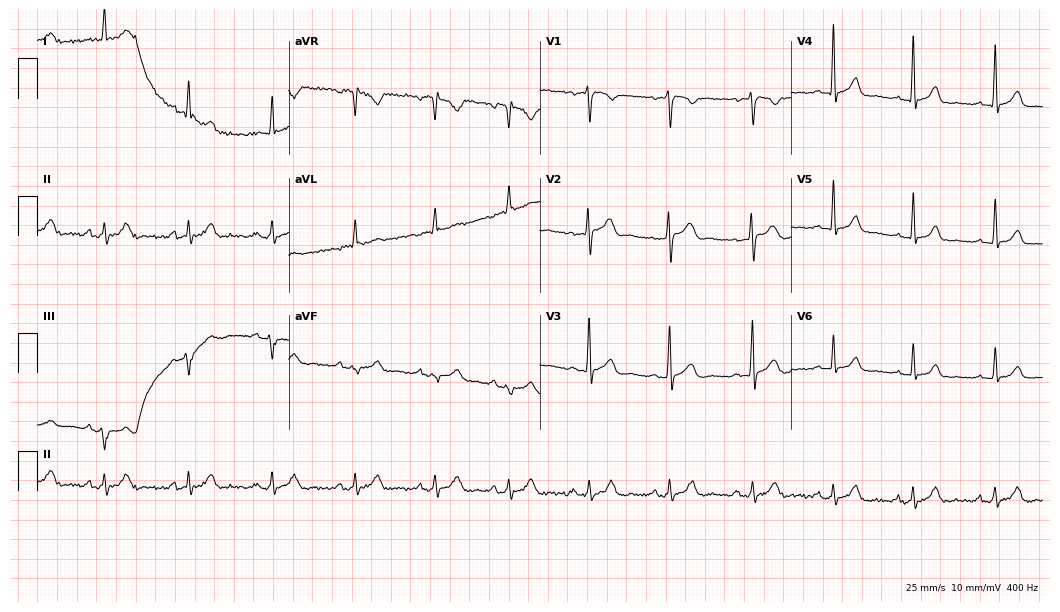
Resting 12-lead electrocardiogram. Patient: a male, 37 years old. None of these six findings is recorded: first-degree AV block, right bundle branch block (RBBB), left bundle branch block (LBBB), sinus bradycardia, atrial fibrillation (AF), sinus tachycardia. Only these six findings were labelled.